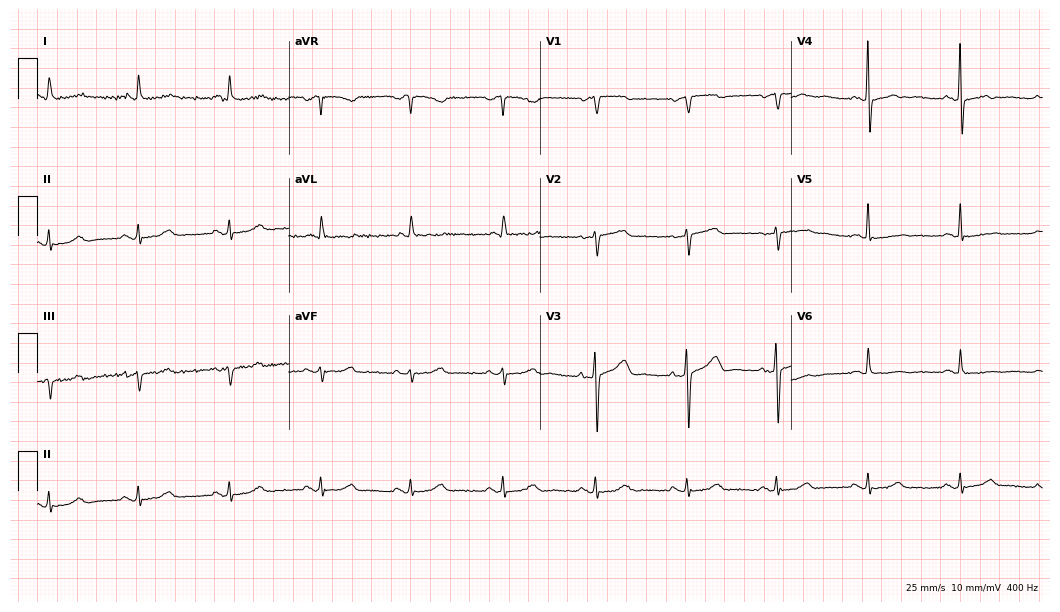
Resting 12-lead electrocardiogram (10.2-second recording at 400 Hz). Patient: a 77-year-old female. None of these six findings is recorded: first-degree AV block, right bundle branch block, left bundle branch block, sinus bradycardia, atrial fibrillation, sinus tachycardia. Other findings, if any, are not listed.